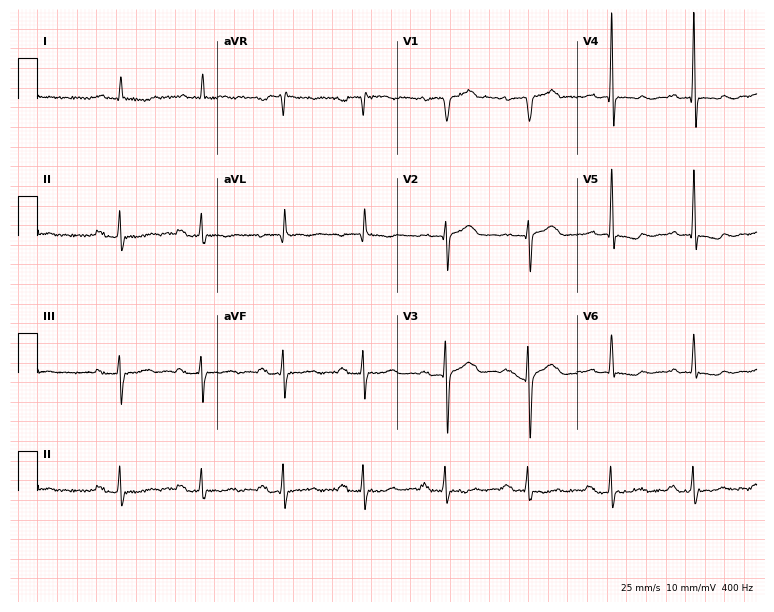
Electrocardiogram (7.3-second recording at 400 Hz), an 83-year-old man. Overall reading on record: normal ECG.